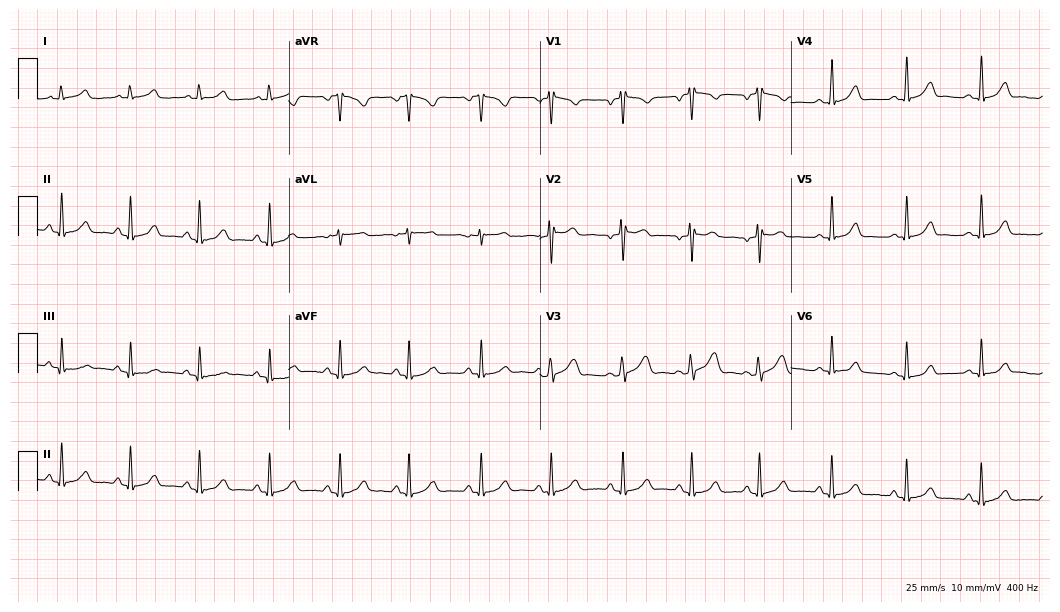
Resting 12-lead electrocardiogram. Patient: a female, 35 years old. Read as a normal ECG.